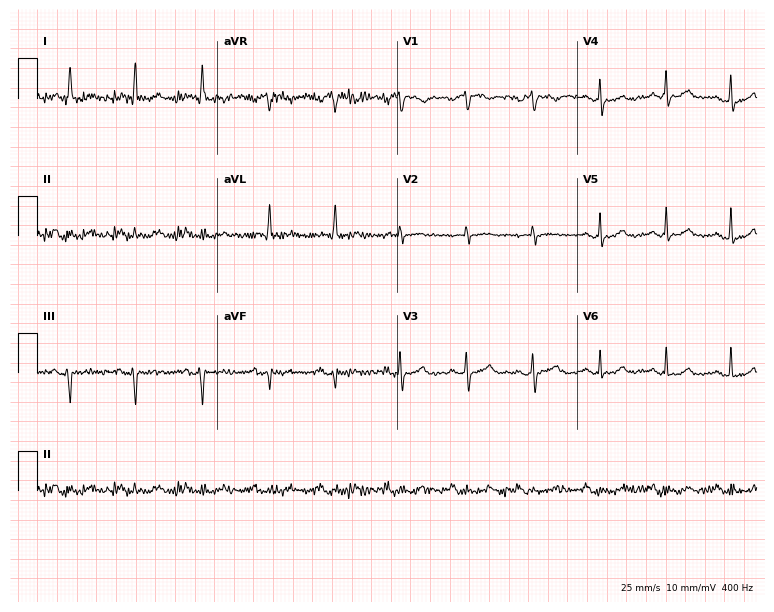
12-lead ECG from a 67-year-old female patient. Screened for six findings — first-degree AV block, right bundle branch block (RBBB), left bundle branch block (LBBB), sinus bradycardia, atrial fibrillation (AF), sinus tachycardia — none is recorded. Only these six findings were labelled.